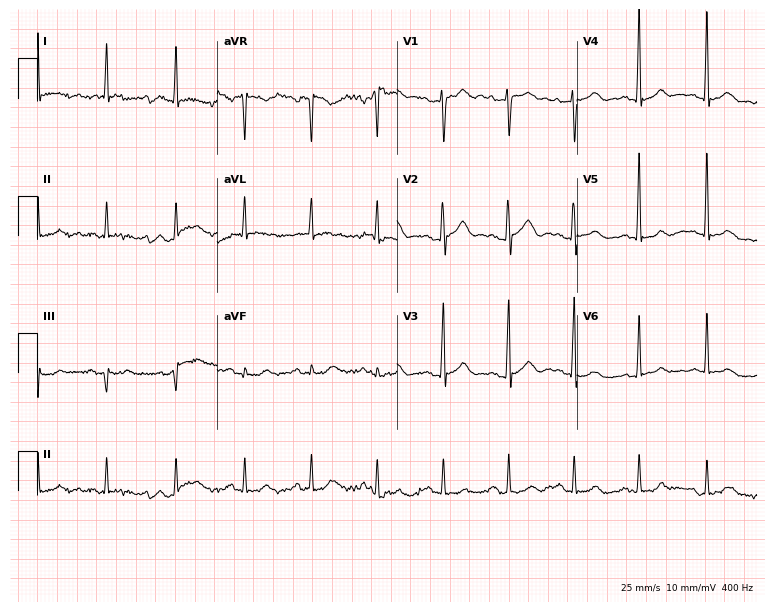
ECG (7.3-second recording at 400 Hz) — a 77-year-old man. Screened for six findings — first-degree AV block, right bundle branch block, left bundle branch block, sinus bradycardia, atrial fibrillation, sinus tachycardia — none is recorded.